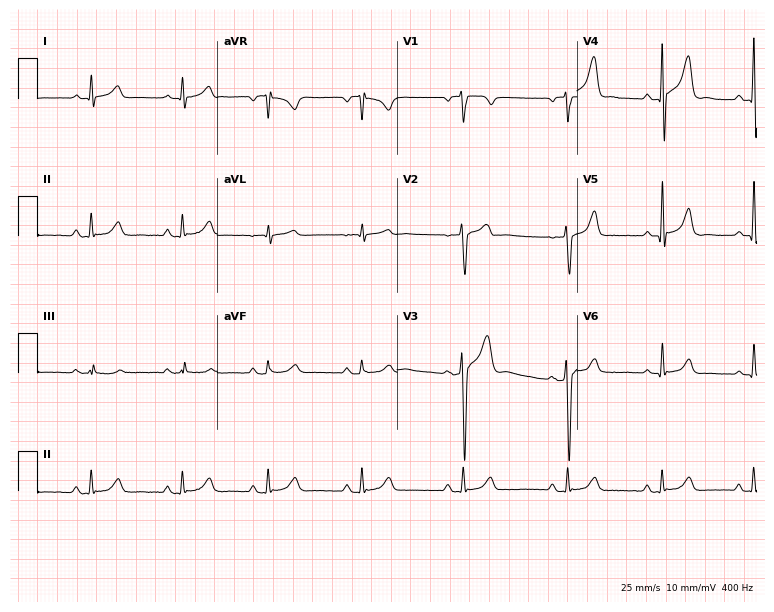
Standard 12-lead ECG recorded from a male, 31 years old. None of these six findings is recorded: first-degree AV block, right bundle branch block (RBBB), left bundle branch block (LBBB), sinus bradycardia, atrial fibrillation (AF), sinus tachycardia.